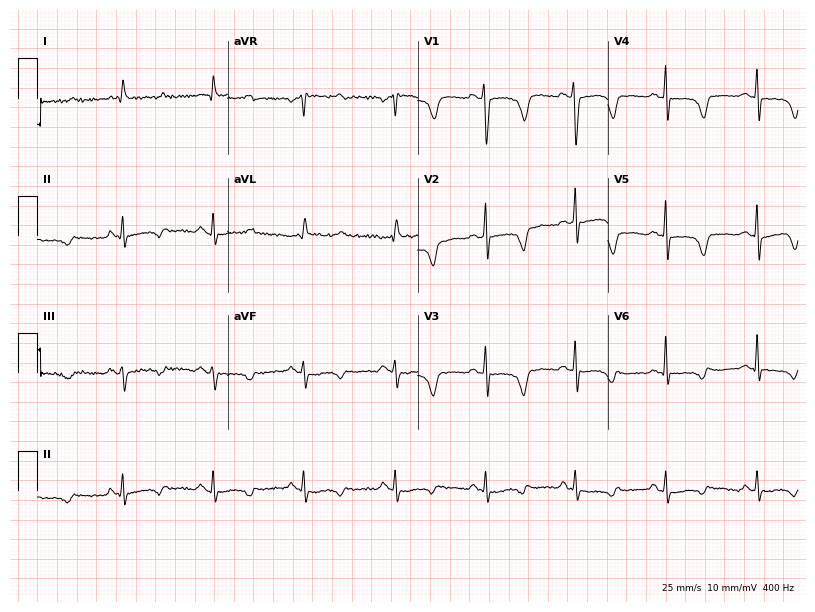
Resting 12-lead electrocardiogram (7.8-second recording at 400 Hz). Patient: a 64-year-old female. None of these six findings is recorded: first-degree AV block, right bundle branch block, left bundle branch block, sinus bradycardia, atrial fibrillation, sinus tachycardia. Other findings, if any, are not listed.